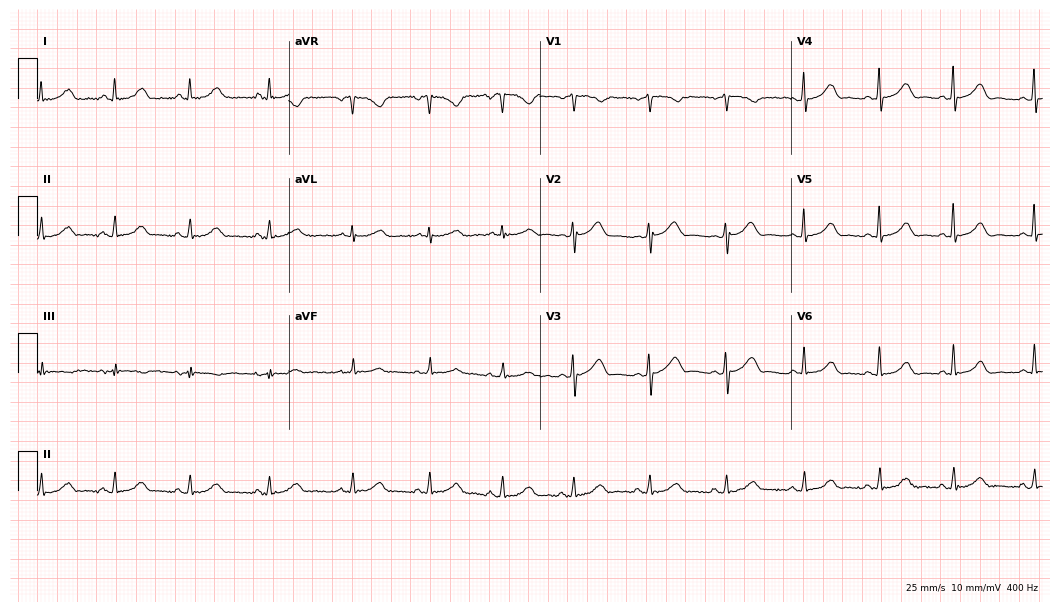
Electrocardiogram, a female patient, 52 years old. Of the six screened findings (first-degree AV block, right bundle branch block, left bundle branch block, sinus bradycardia, atrial fibrillation, sinus tachycardia), none is recorded.